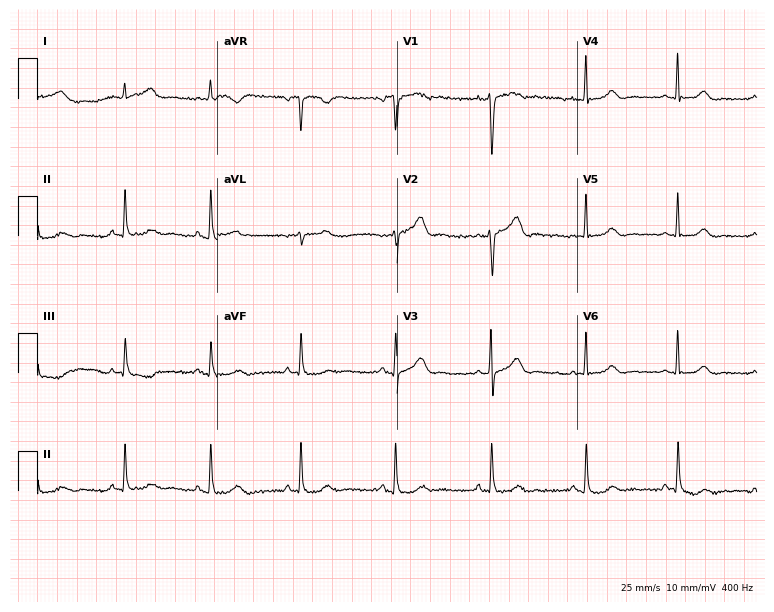
Resting 12-lead electrocardiogram. Patient: a female, 34 years old. Read as a normal ECG.